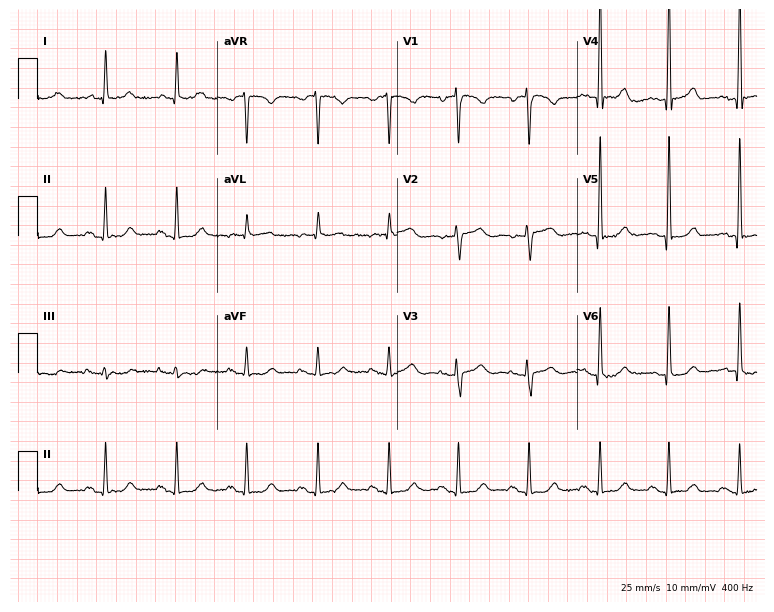
ECG — an 85-year-old female patient. Labelled as a normal ECG.